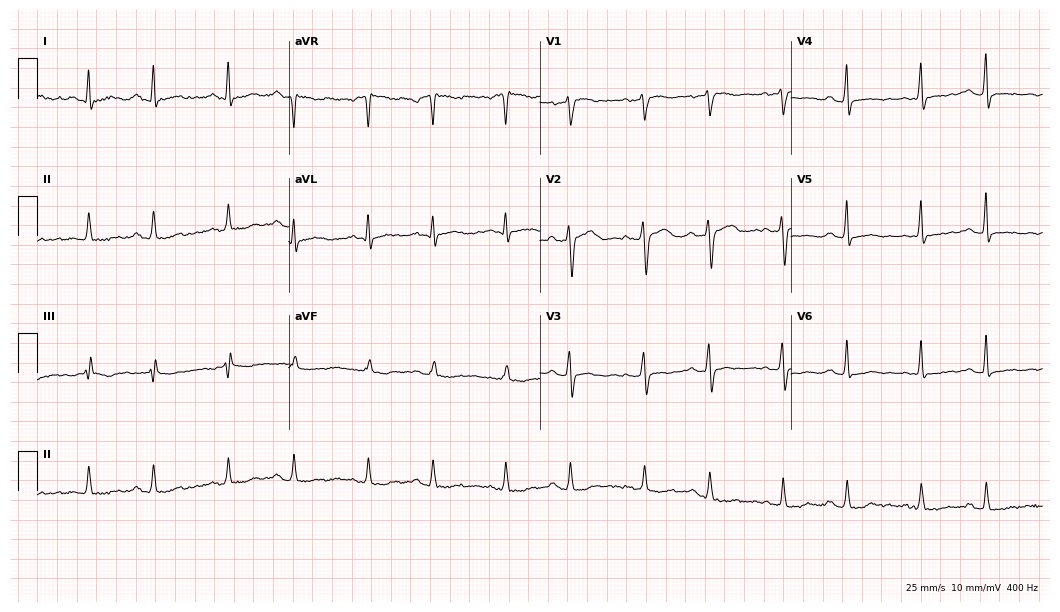
Standard 12-lead ECG recorded from a 48-year-old woman. None of these six findings is recorded: first-degree AV block, right bundle branch block (RBBB), left bundle branch block (LBBB), sinus bradycardia, atrial fibrillation (AF), sinus tachycardia. Other findings, if any, are not listed.